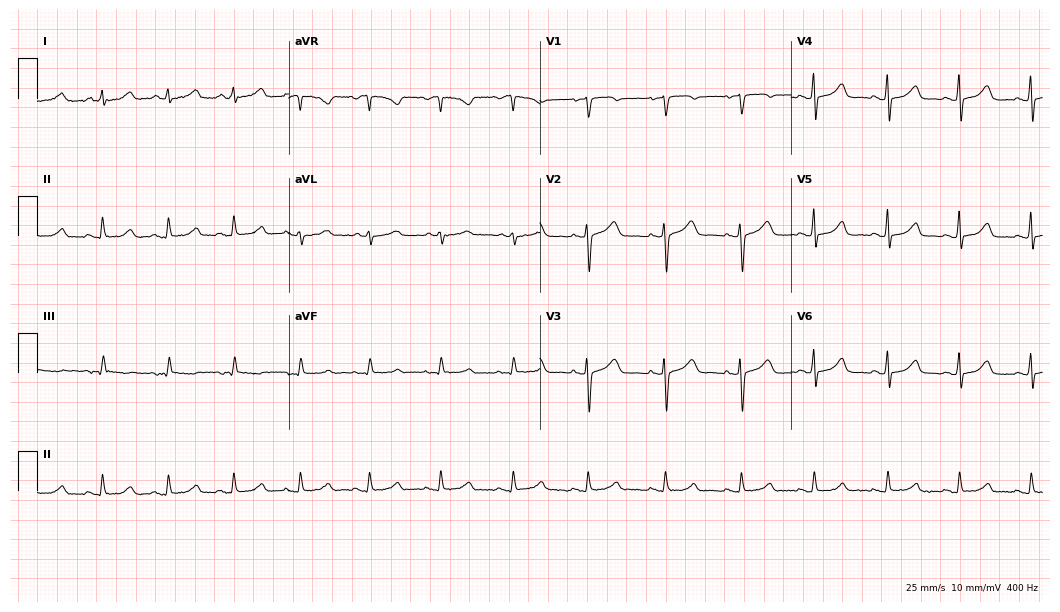
ECG (10.2-second recording at 400 Hz) — a 50-year-old female. Labelled as a normal ECG.